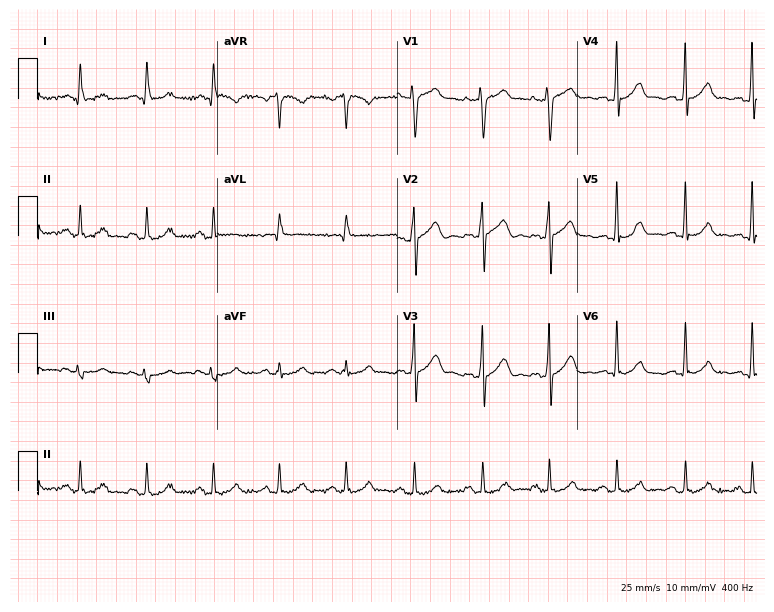
ECG — a 50-year-old man. Labelled as a normal ECG.